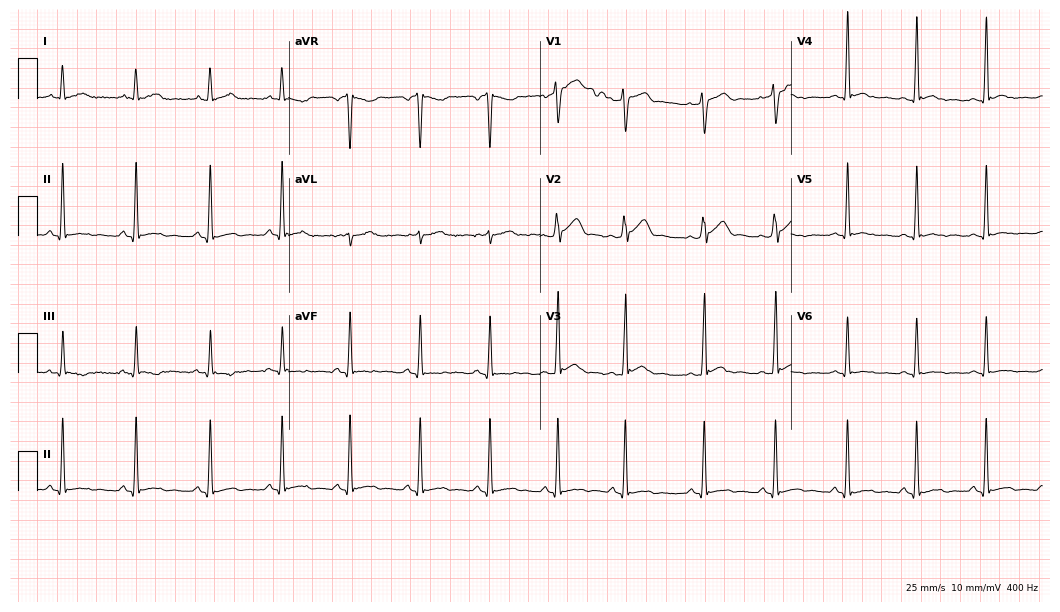
Resting 12-lead electrocardiogram (10.2-second recording at 400 Hz). Patient: a male, 26 years old. None of these six findings is recorded: first-degree AV block, right bundle branch block (RBBB), left bundle branch block (LBBB), sinus bradycardia, atrial fibrillation (AF), sinus tachycardia. Findings outside these six are not listed.